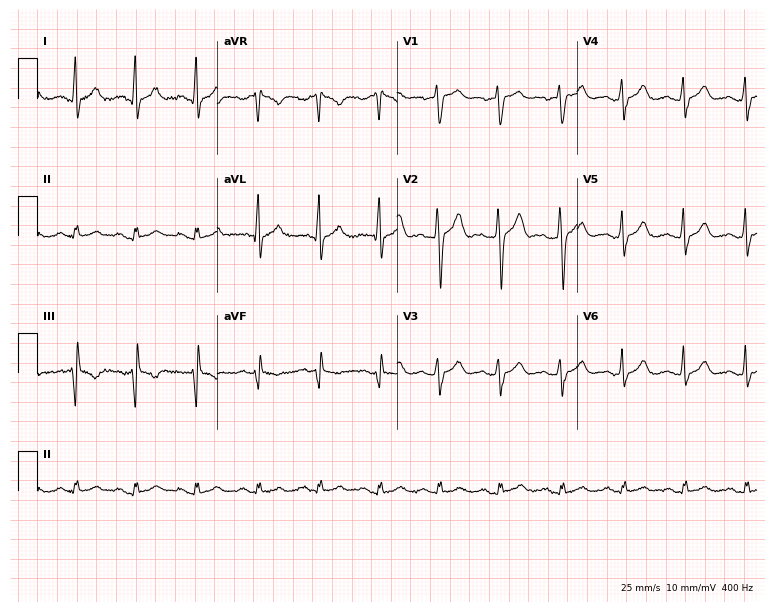
Electrocardiogram, a 30-year-old male. Overall reading on record: normal ECG.